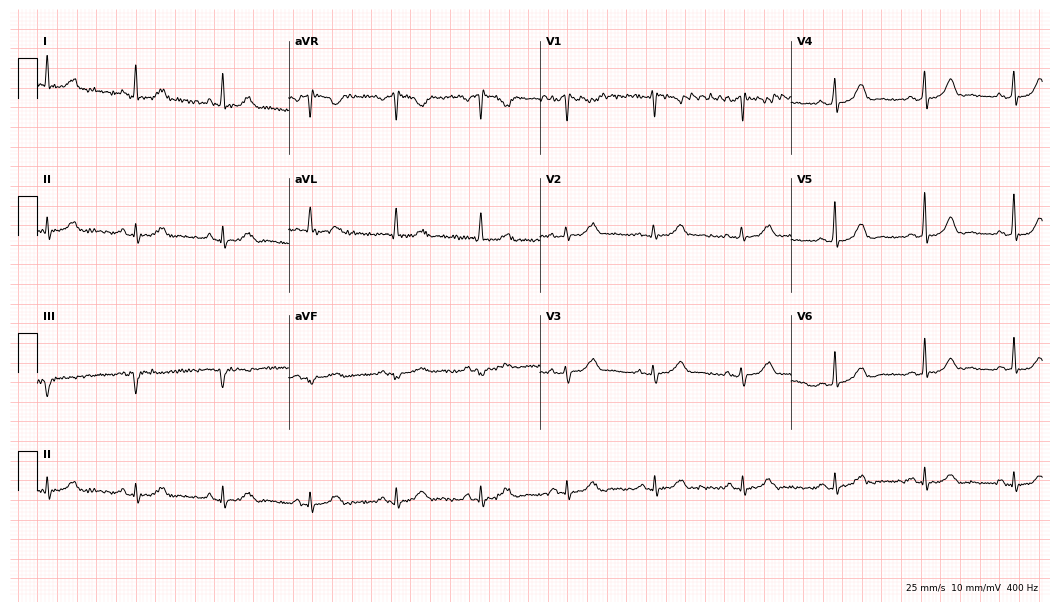
Resting 12-lead electrocardiogram. Patient: a 64-year-old female. Read as a normal ECG.